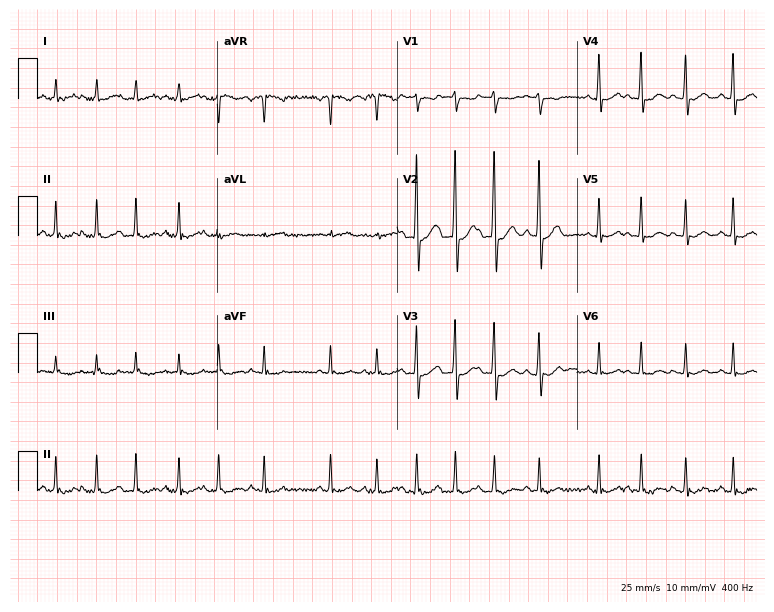
ECG — a 67-year-old man. Findings include sinus tachycardia (a sinus rate of 100 beats per minute or more).